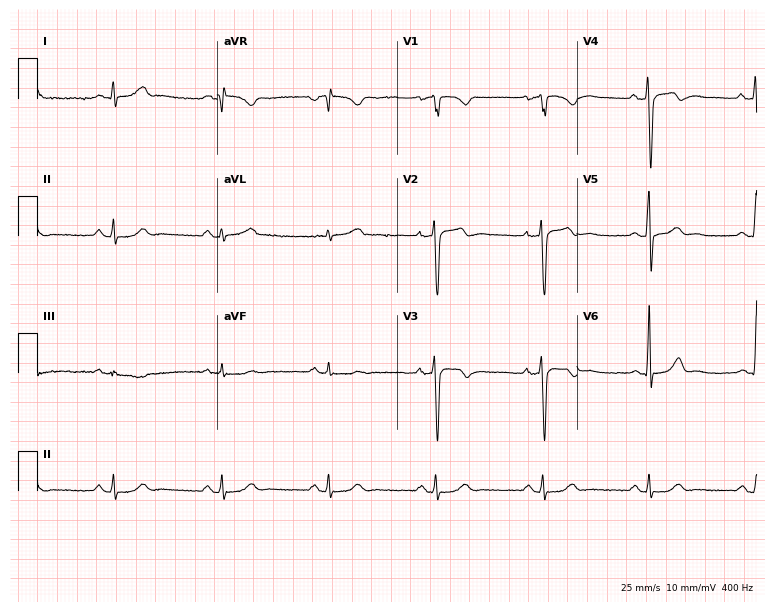
12-lead ECG from a 48-year-old male. Labelled as a normal ECG.